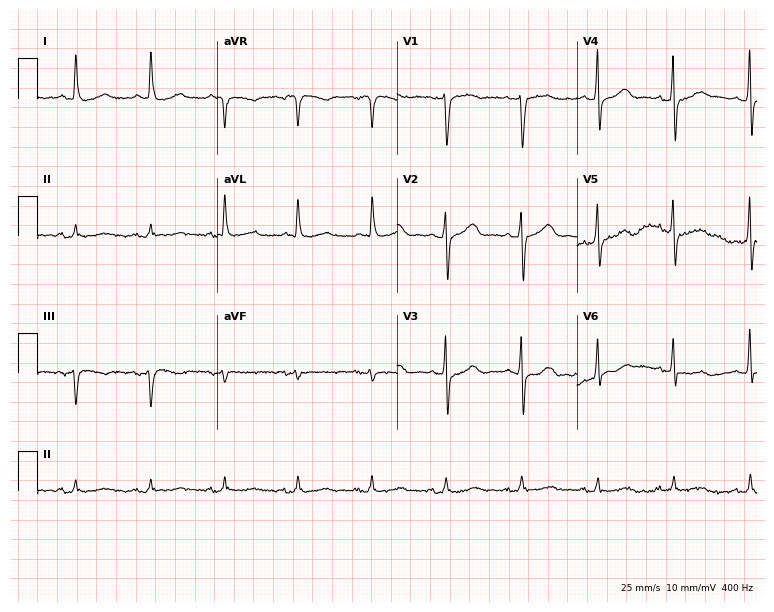
12-lead ECG from an 82-year-old female patient (7.3-second recording at 400 Hz). Recorded interpretation: within normal limits.